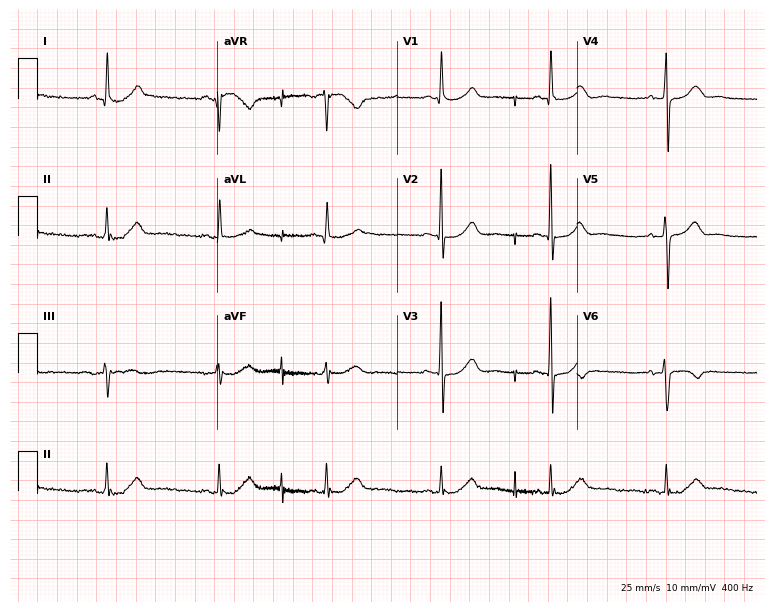
Resting 12-lead electrocardiogram. Patient: a woman, 57 years old. None of these six findings is recorded: first-degree AV block, right bundle branch block, left bundle branch block, sinus bradycardia, atrial fibrillation, sinus tachycardia.